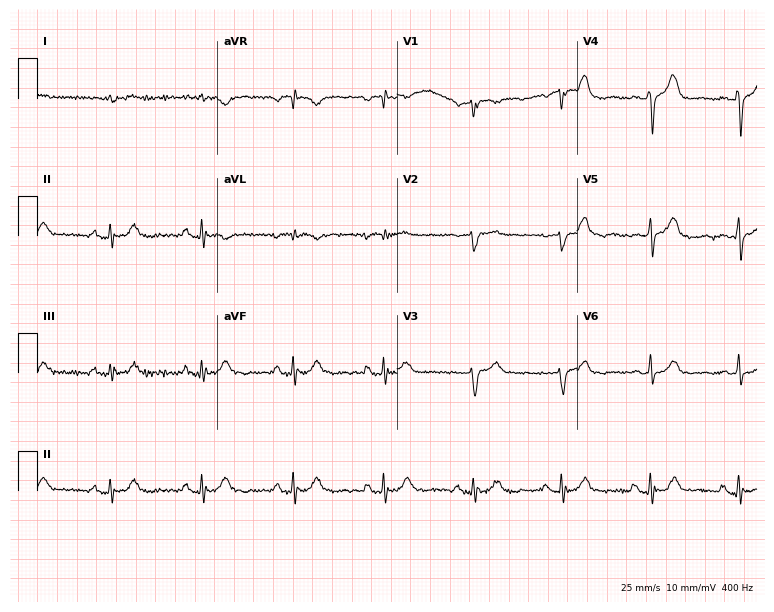
Electrocardiogram, an 83-year-old male patient. Overall reading on record: normal ECG.